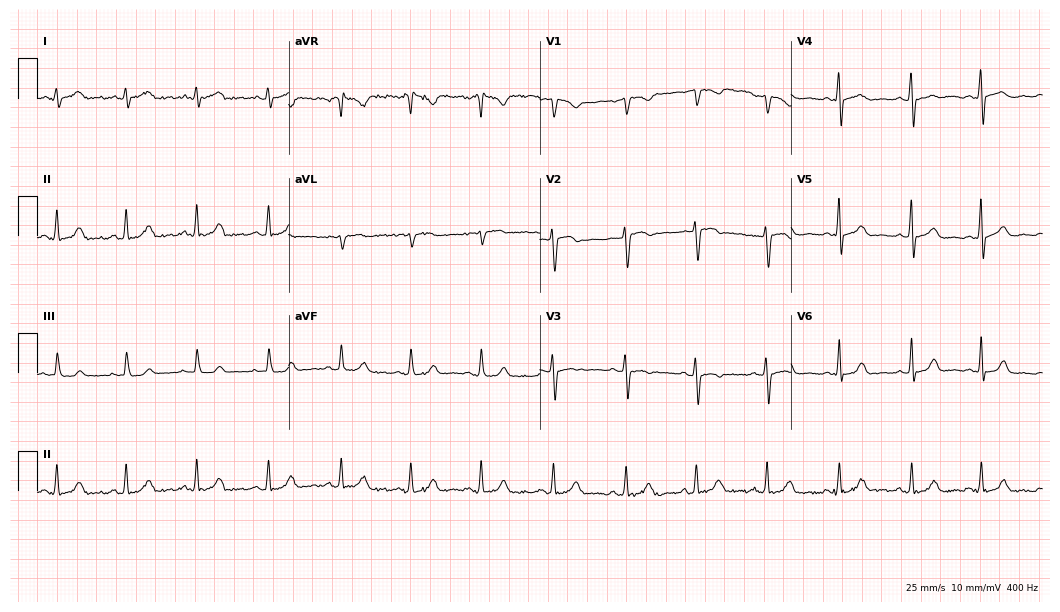
Standard 12-lead ECG recorded from a woman, 19 years old. Read as a normal ECG.